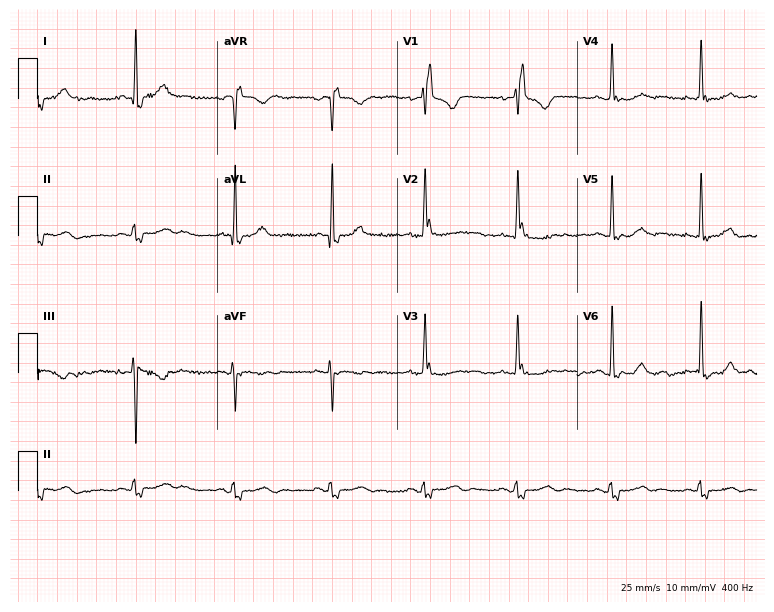
ECG (7.3-second recording at 400 Hz) — an 80-year-old female. Findings include right bundle branch block (RBBB).